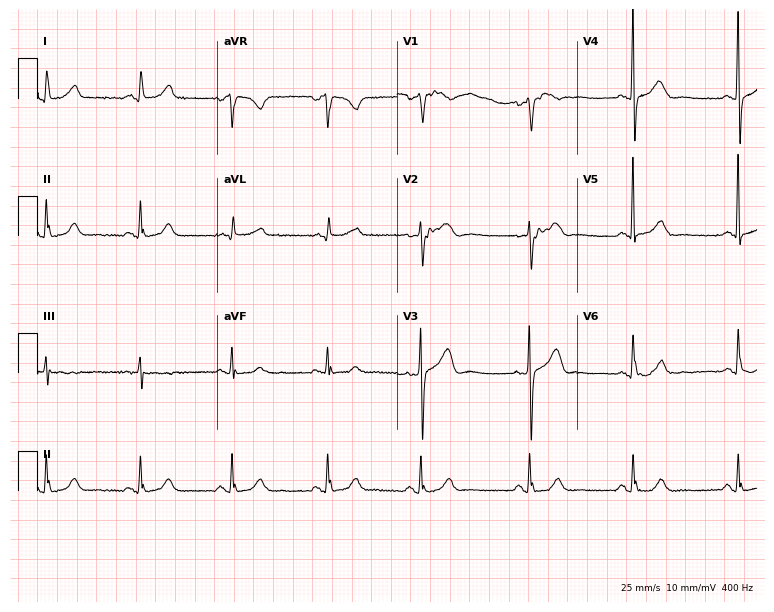
Standard 12-lead ECG recorded from a woman, 79 years old (7.3-second recording at 400 Hz). None of these six findings is recorded: first-degree AV block, right bundle branch block (RBBB), left bundle branch block (LBBB), sinus bradycardia, atrial fibrillation (AF), sinus tachycardia. Findings outside these six are not listed.